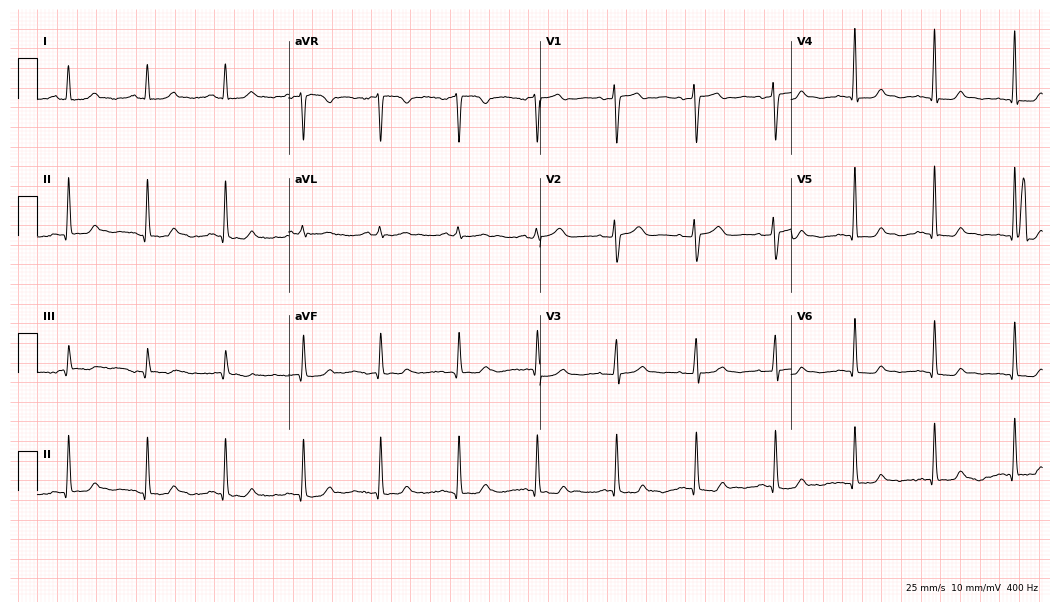
Standard 12-lead ECG recorded from a female patient, 58 years old (10.2-second recording at 400 Hz). None of these six findings is recorded: first-degree AV block, right bundle branch block (RBBB), left bundle branch block (LBBB), sinus bradycardia, atrial fibrillation (AF), sinus tachycardia.